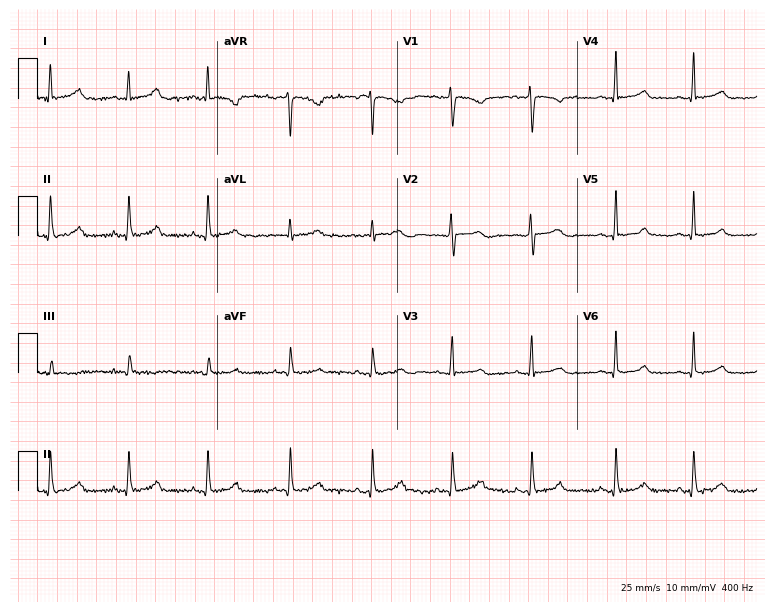
Standard 12-lead ECG recorded from a female patient, 38 years old. Read as a normal ECG.